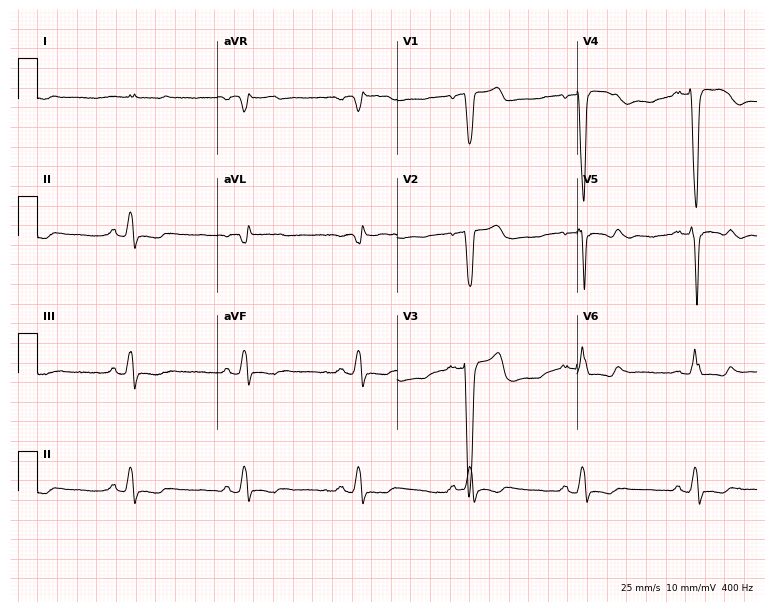
12-lead ECG (7.3-second recording at 400 Hz) from a 49-year-old male. Screened for six findings — first-degree AV block, right bundle branch block (RBBB), left bundle branch block (LBBB), sinus bradycardia, atrial fibrillation (AF), sinus tachycardia — none is recorded. Only these six findings were labelled.